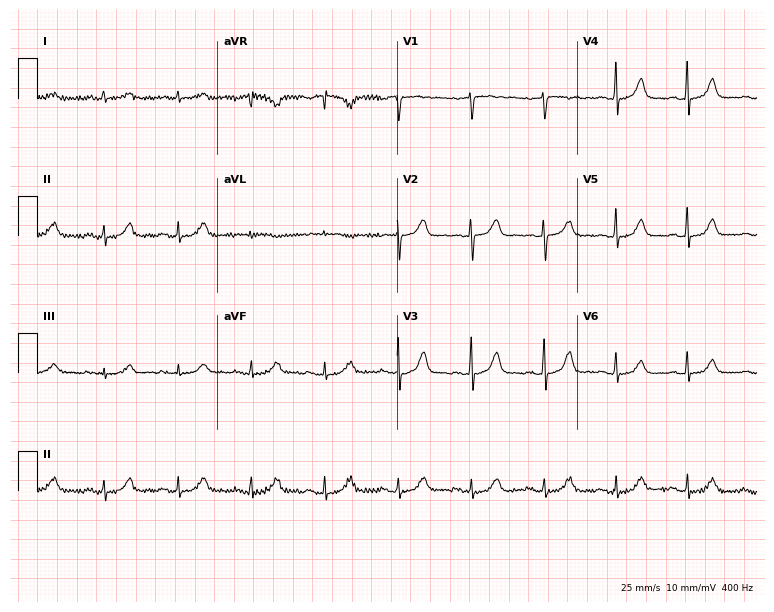
ECG (7.3-second recording at 400 Hz) — a 53-year-old woman. Labelled as a normal ECG.